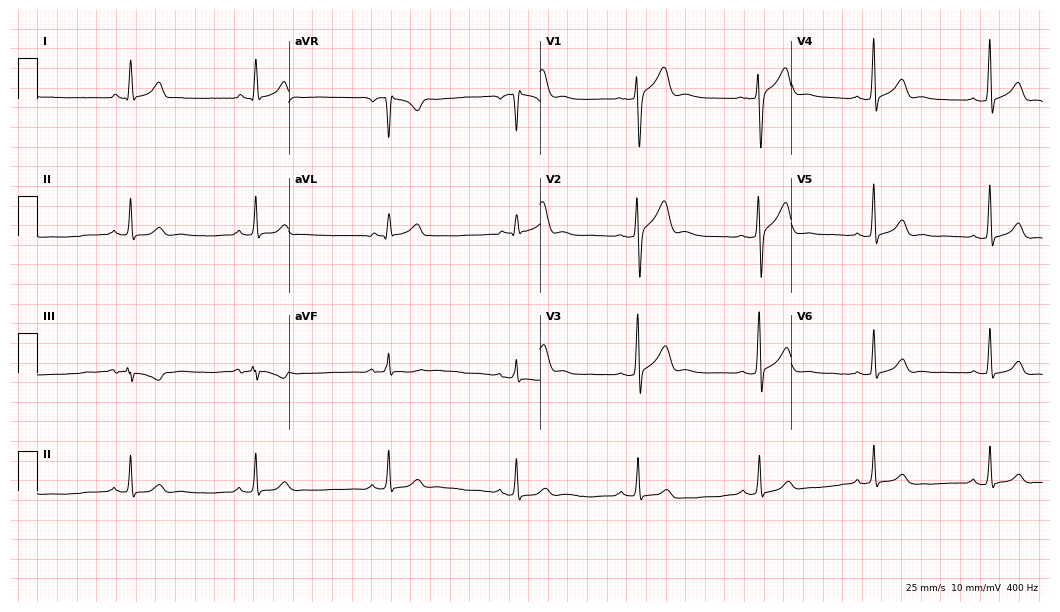
Resting 12-lead electrocardiogram. Patient: a 29-year-old male. The tracing shows sinus bradycardia (a sinus rate of 50 beats per minute or less).